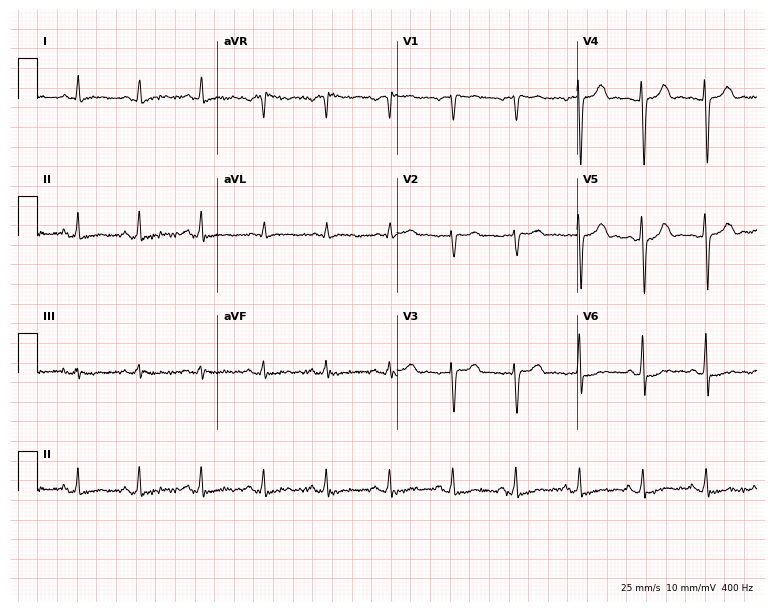
ECG — a female patient, 61 years old. Screened for six findings — first-degree AV block, right bundle branch block (RBBB), left bundle branch block (LBBB), sinus bradycardia, atrial fibrillation (AF), sinus tachycardia — none is recorded.